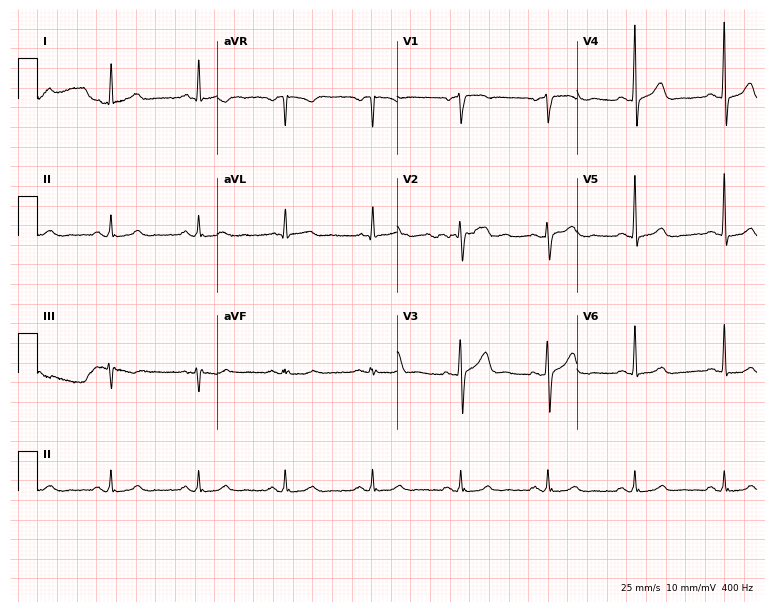
Electrocardiogram, a 67-year-old male patient. Overall reading on record: normal ECG.